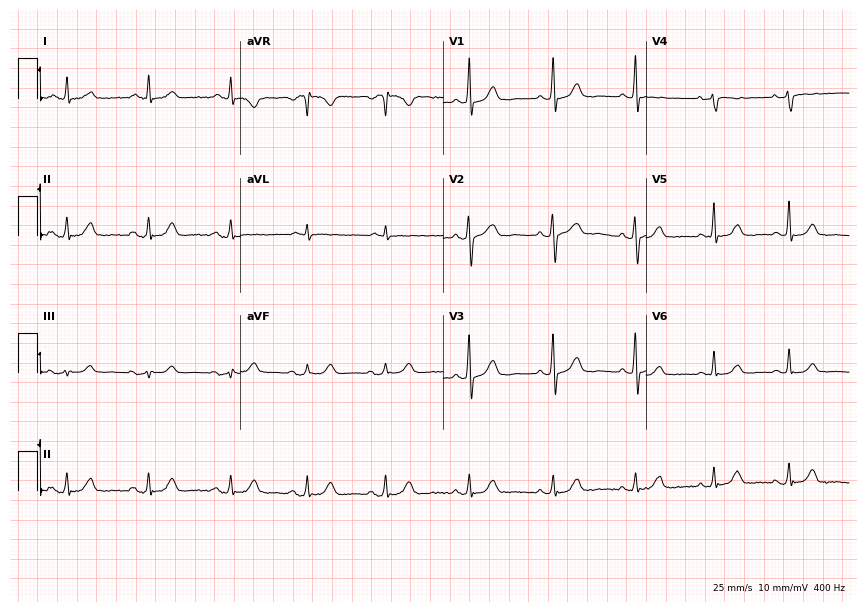
ECG (8.3-second recording at 400 Hz) — a woman, 64 years old. Screened for six findings — first-degree AV block, right bundle branch block, left bundle branch block, sinus bradycardia, atrial fibrillation, sinus tachycardia — none is recorded.